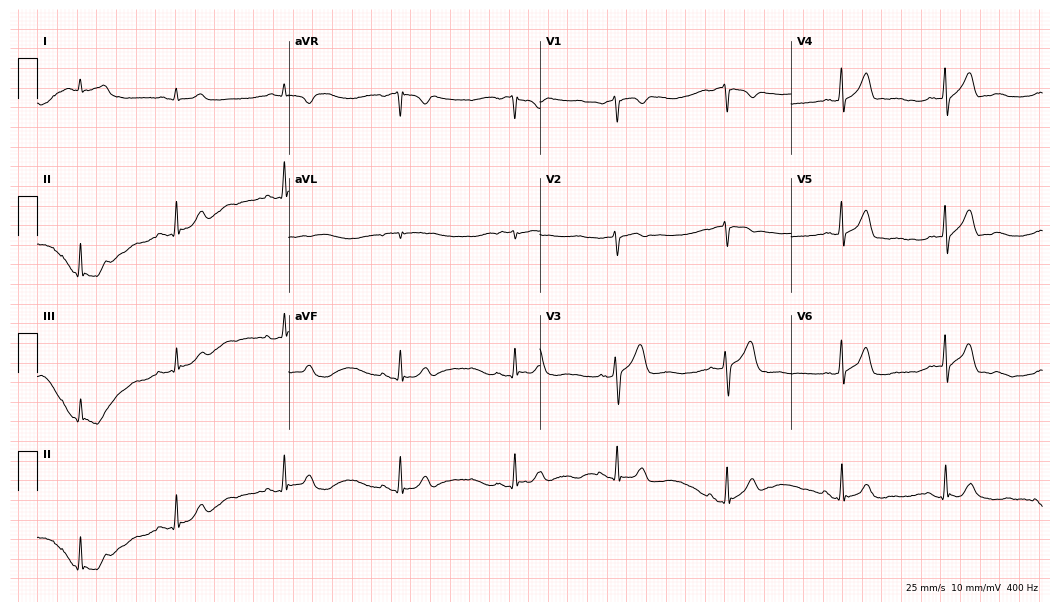
Resting 12-lead electrocardiogram. Patient: a male, 74 years old. None of these six findings is recorded: first-degree AV block, right bundle branch block (RBBB), left bundle branch block (LBBB), sinus bradycardia, atrial fibrillation (AF), sinus tachycardia.